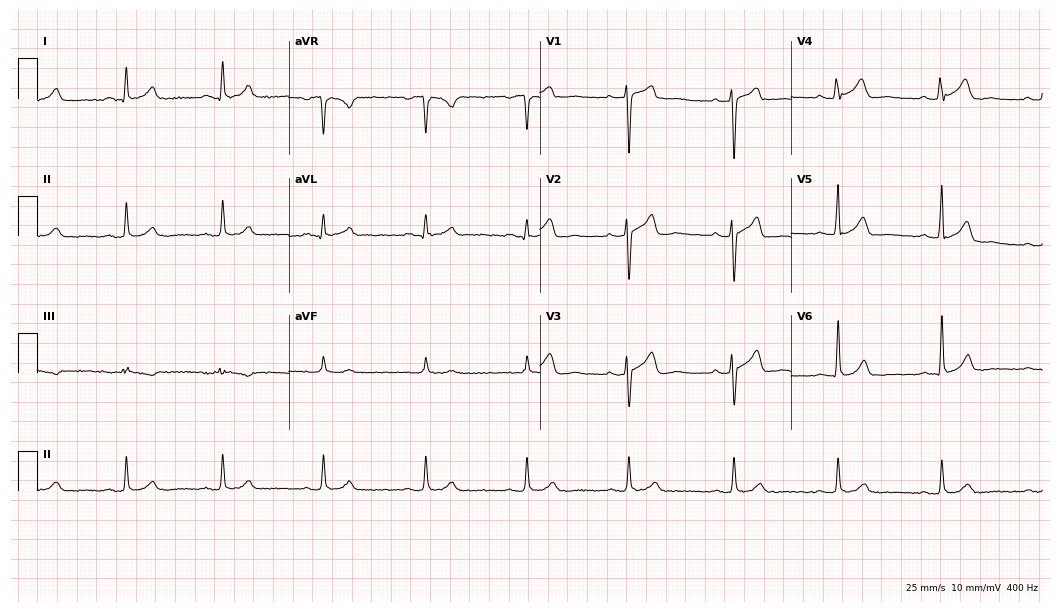
Standard 12-lead ECG recorded from a male patient, 46 years old. None of these six findings is recorded: first-degree AV block, right bundle branch block, left bundle branch block, sinus bradycardia, atrial fibrillation, sinus tachycardia.